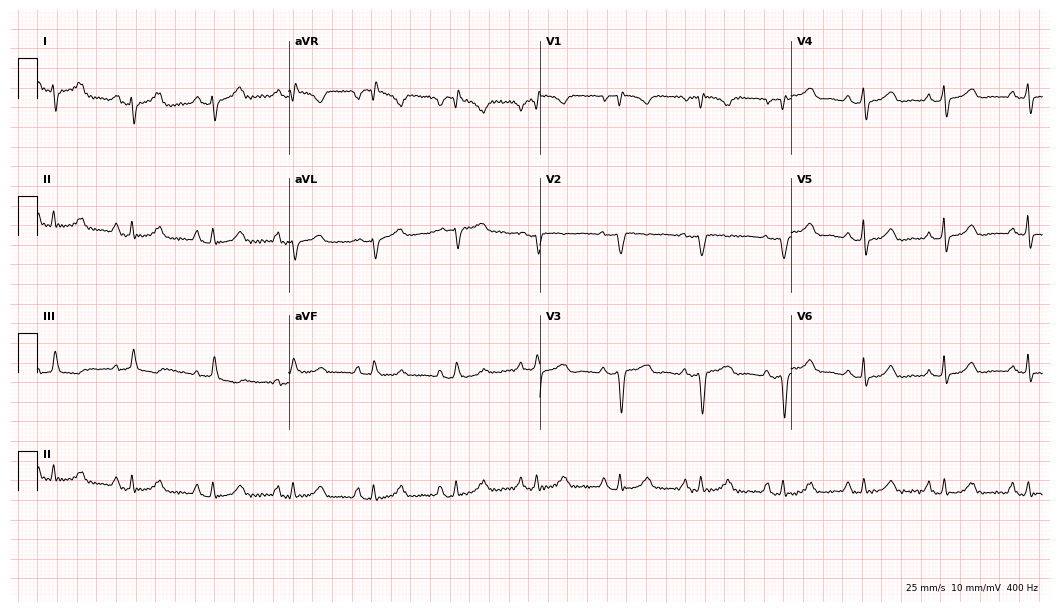
Electrocardiogram (10.2-second recording at 400 Hz), a female patient, 42 years old. Overall reading on record: normal ECG.